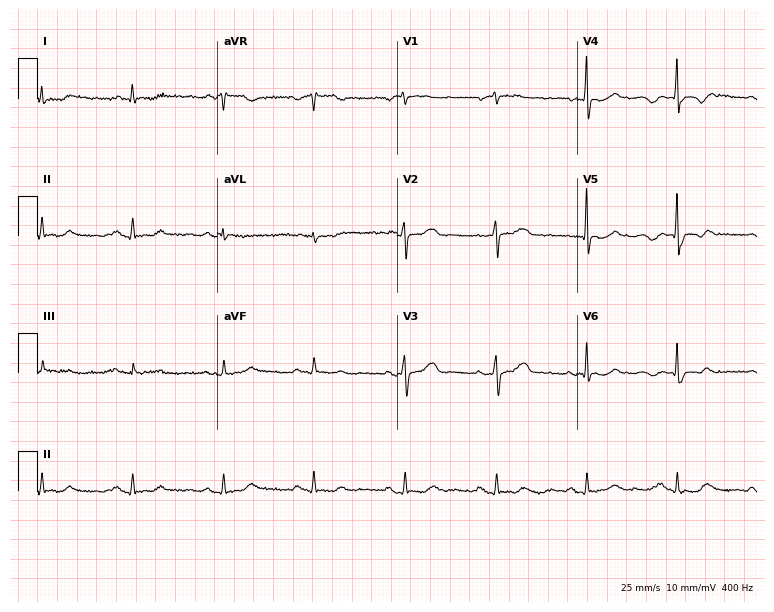
Resting 12-lead electrocardiogram (7.3-second recording at 400 Hz). Patient: a 78-year-old woman. None of these six findings is recorded: first-degree AV block, right bundle branch block, left bundle branch block, sinus bradycardia, atrial fibrillation, sinus tachycardia.